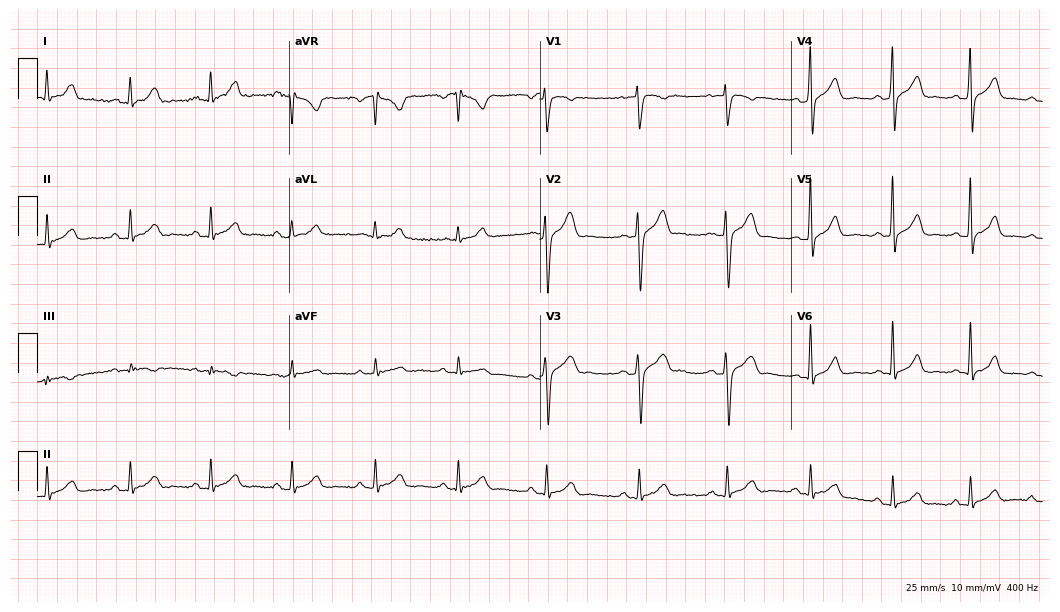
12-lead ECG from a male patient, 35 years old. Recorded interpretation: within normal limits.